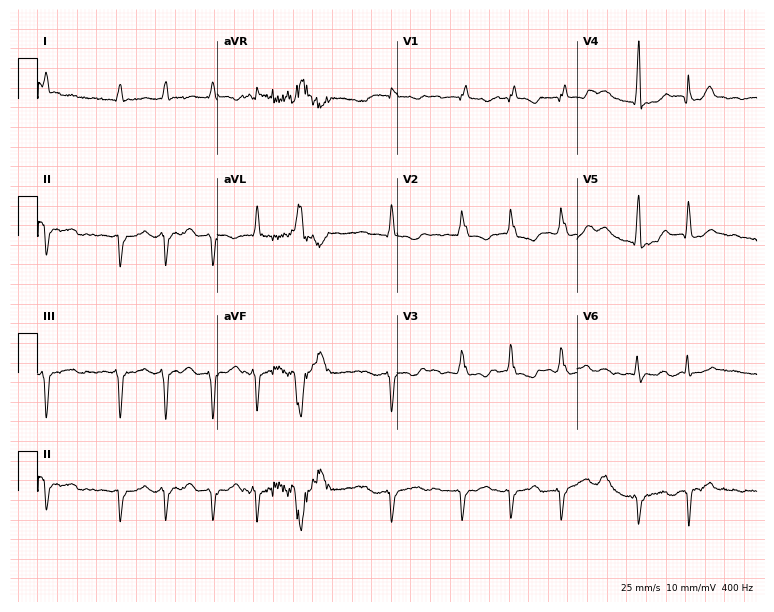
12-lead ECG from an 84-year-old male patient. Shows right bundle branch block, atrial fibrillation.